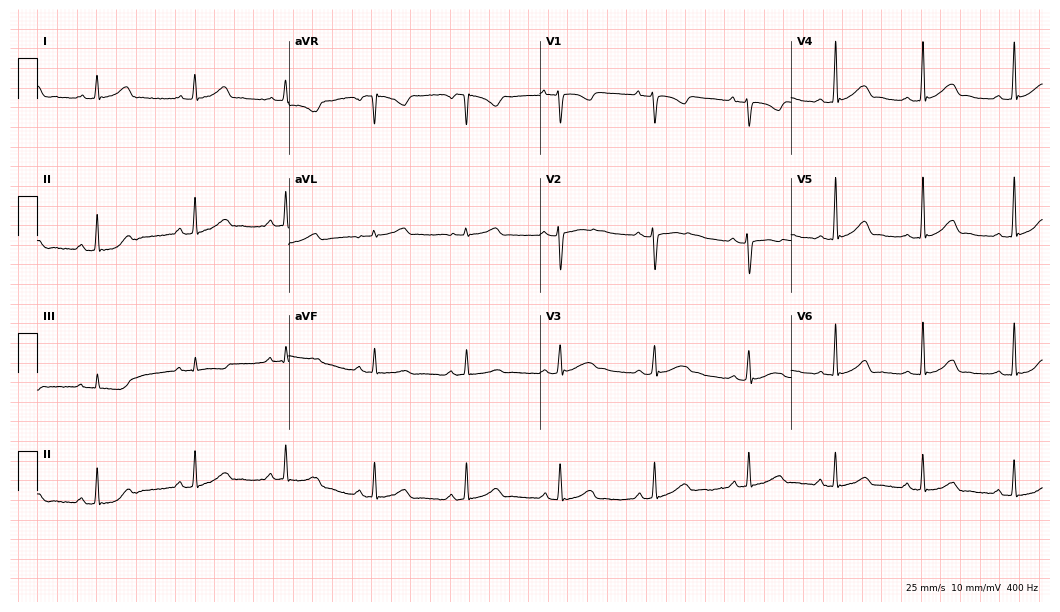
12-lead ECG from a female, 26 years old (10.2-second recording at 400 Hz). Recorded interpretation: within normal limits.